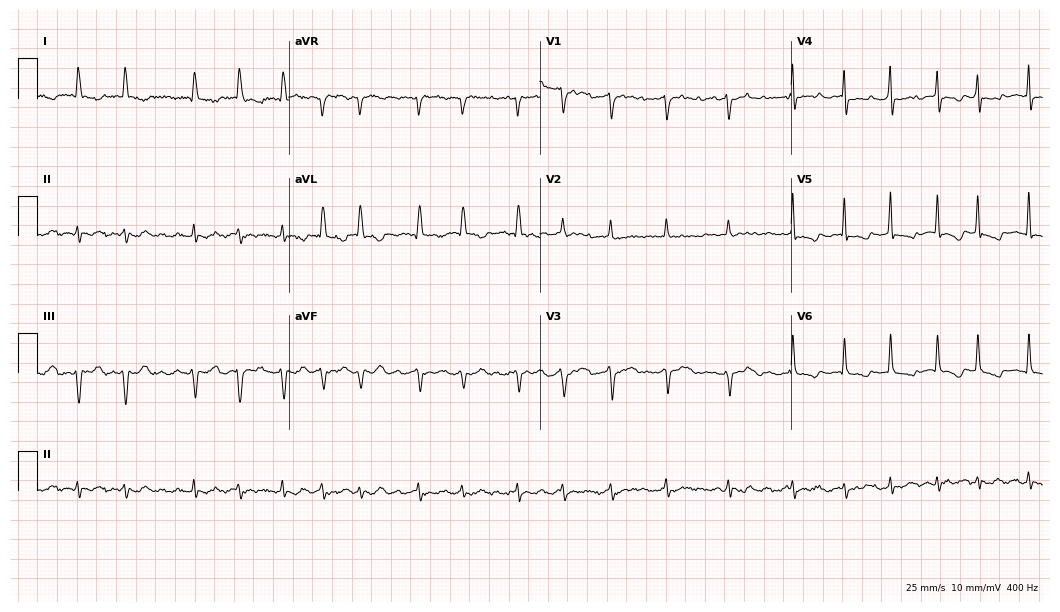
12-lead ECG from a 72-year-old female patient. Shows atrial fibrillation.